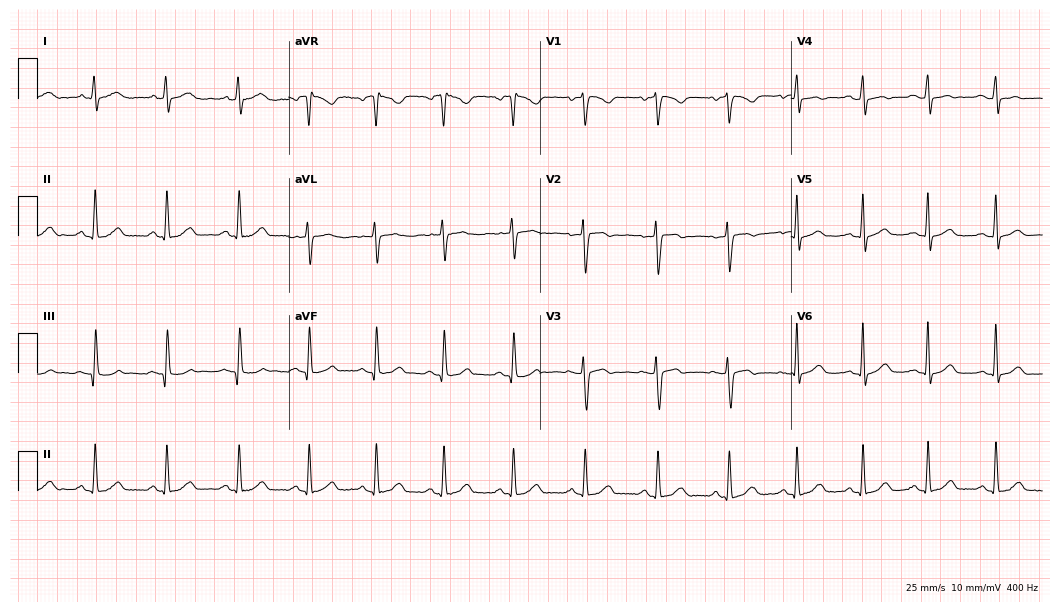
Standard 12-lead ECG recorded from a 29-year-old woman. Read as a normal ECG.